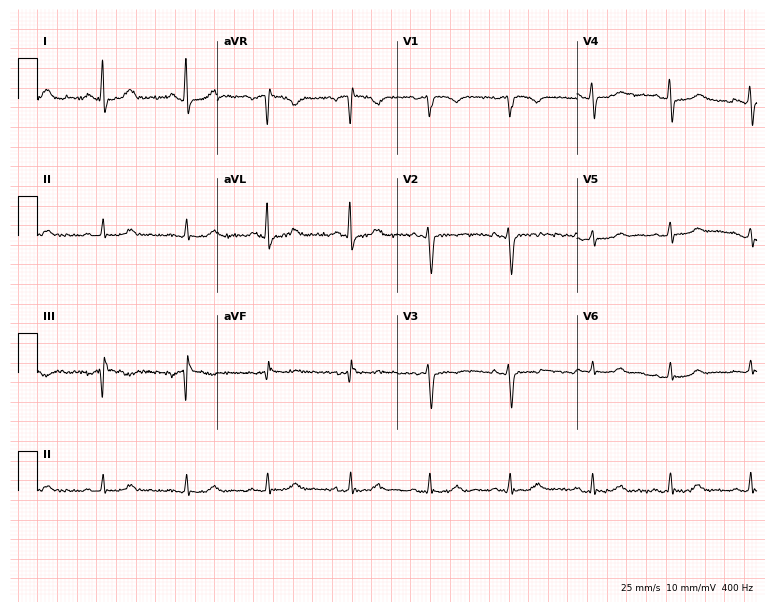
Standard 12-lead ECG recorded from a female, 43 years old. None of these six findings is recorded: first-degree AV block, right bundle branch block, left bundle branch block, sinus bradycardia, atrial fibrillation, sinus tachycardia. Findings outside these six are not listed.